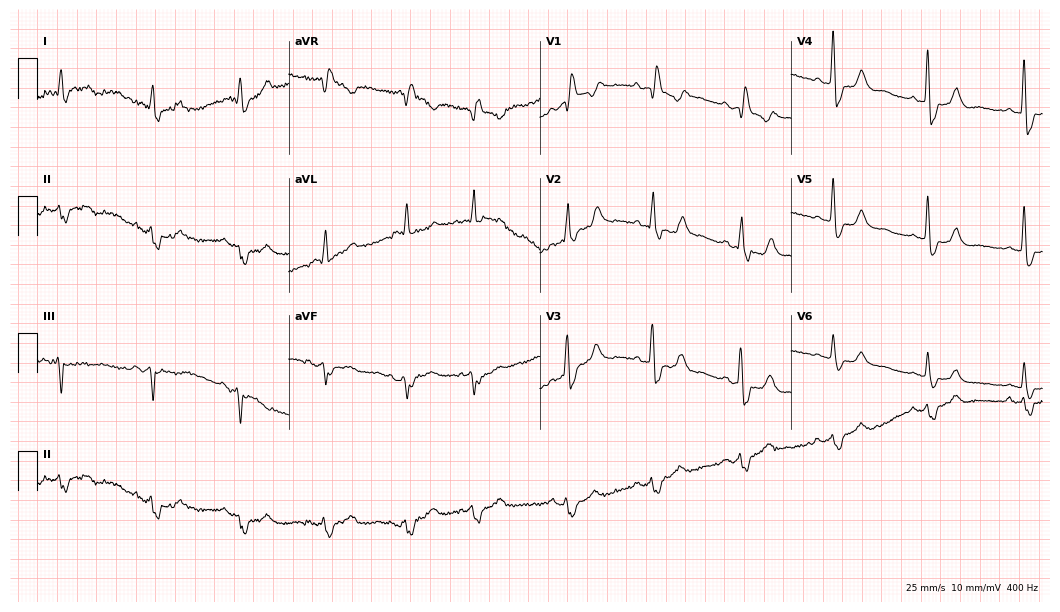
Resting 12-lead electrocardiogram (10.2-second recording at 400 Hz). Patient: an 83-year-old male. The tracing shows right bundle branch block.